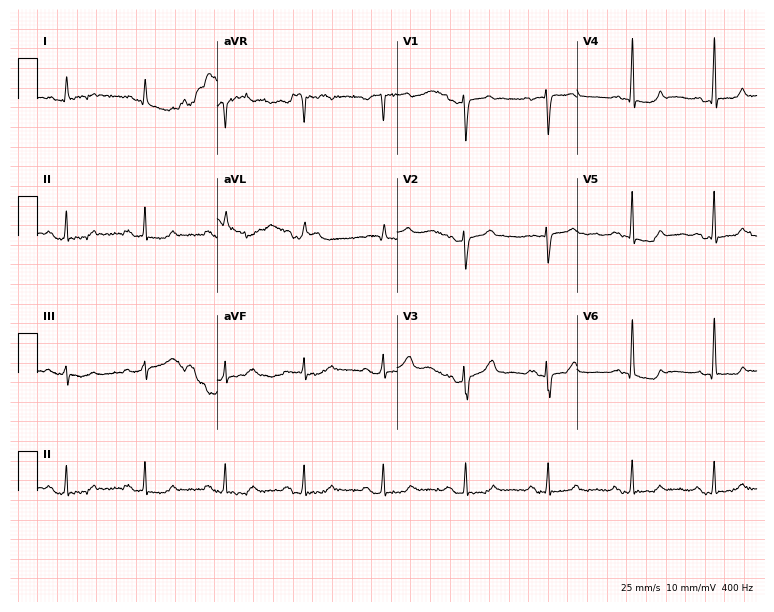
Standard 12-lead ECG recorded from a 70-year-old man. None of these six findings is recorded: first-degree AV block, right bundle branch block, left bundle branch block, sinus bradycardia, atrial fibrillation, sinus tachycardia. Other findings, if any, are not listed.